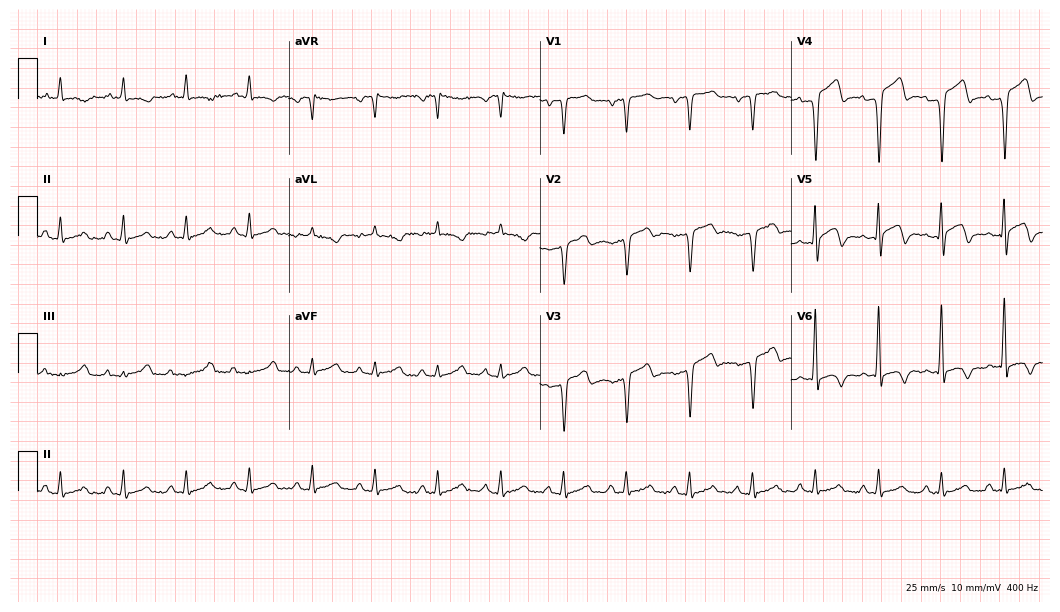
ECG (10.2-second recording at 400 Hz) — a 76-year-old female. Screened for six findings — first-degree AV block, right bundle branch block, left bundle branch block, sinus bradycardia, atrial fibrillation, sinus tachycardia — none is recorded. Only these six findings were labelled.